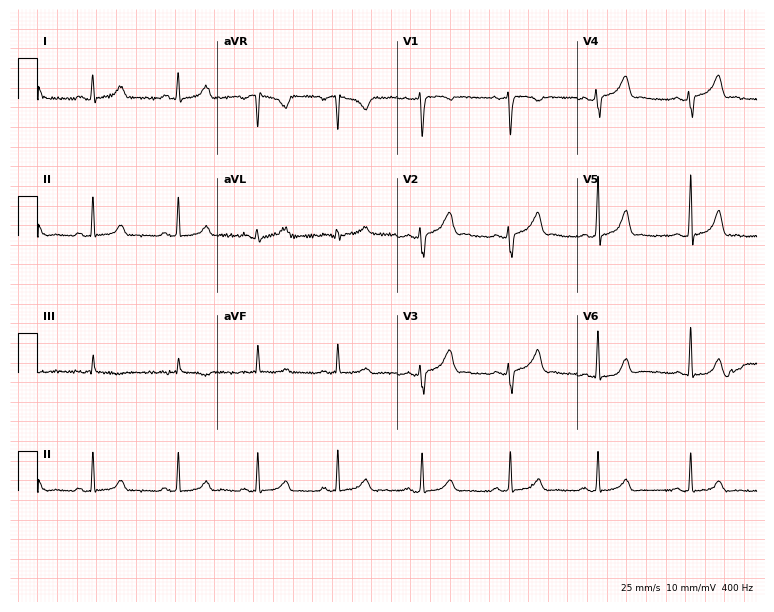
Standard 12-lead ECG recorded from a female, 29 years old. Read as a normal ECG.